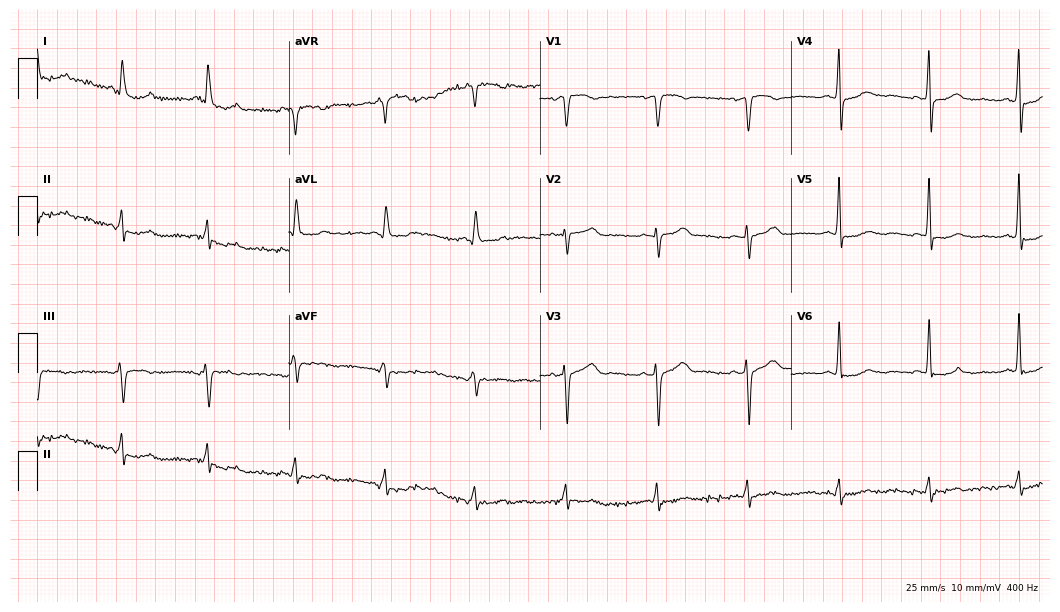
12-lead ECG (10.2-second recording at 400 Hz) from a 55-year-old female patient. Screened for six findings — first-degree AV block, right bundle branch block (RBBB), left bundle branch block (LBBB), sinus bradycardia, atrial fibrillation (AF), sinus tachycardia — none is recorded.